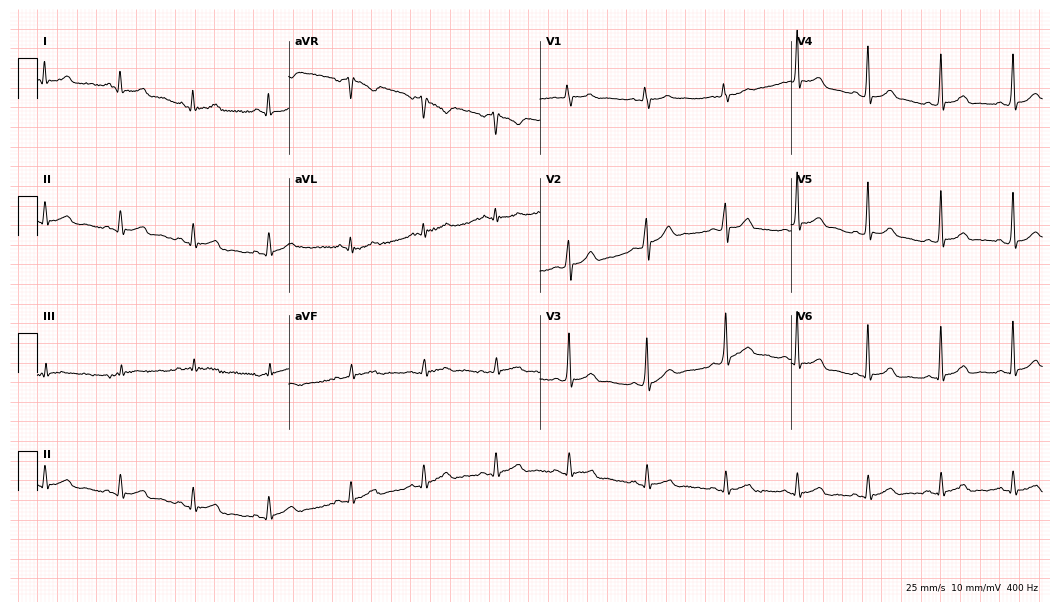
12-lead ECG from a 44-year-old man. Screened for six findings — first-degree AV block, right bundle branch block, left bundle branch block, sinus bradycardia, atrial fibrillation, sinus tachycardia — none is recorded. Findings outside these six are not listed.